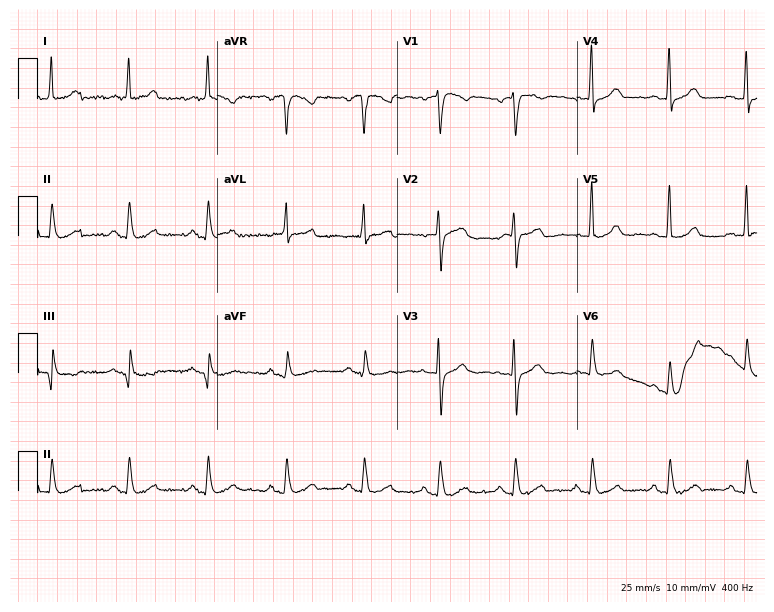
Resting 12-lead electrocardiogram. Patient: a female, 60 years old. Read as a normal ECG.